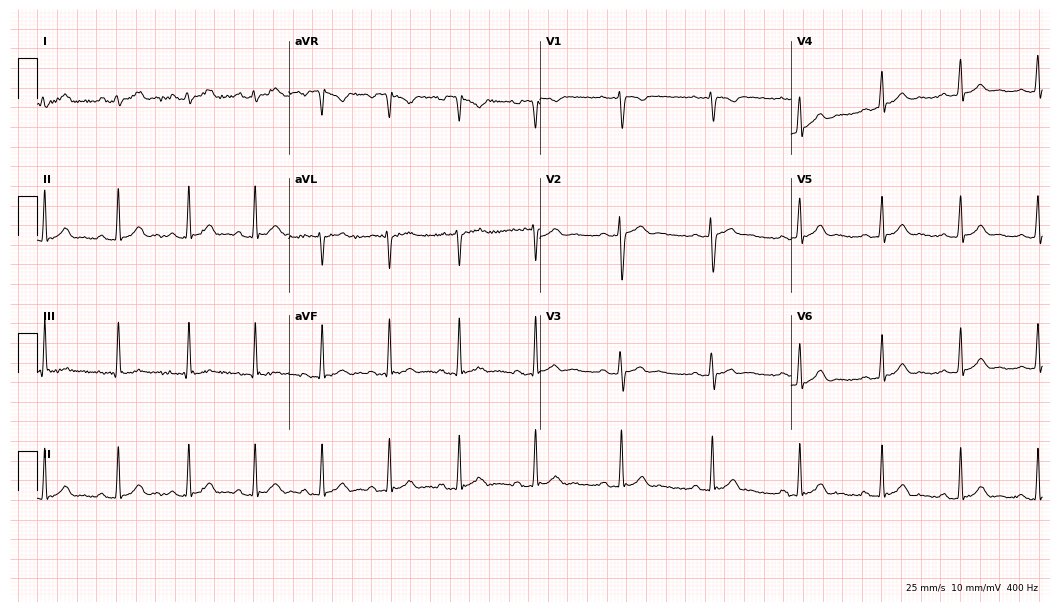
Resting 12-lead electrocardiogram (10.2-second recording at 400 Hz). Patient: a 17-year-old female. None of these six findings is recorded: first-degree AV block, right bundle branch block, left bundle branch block, sinus bradycardia, atrial fibrillation, sinus tachycardia. Findings outside these six are not listed.